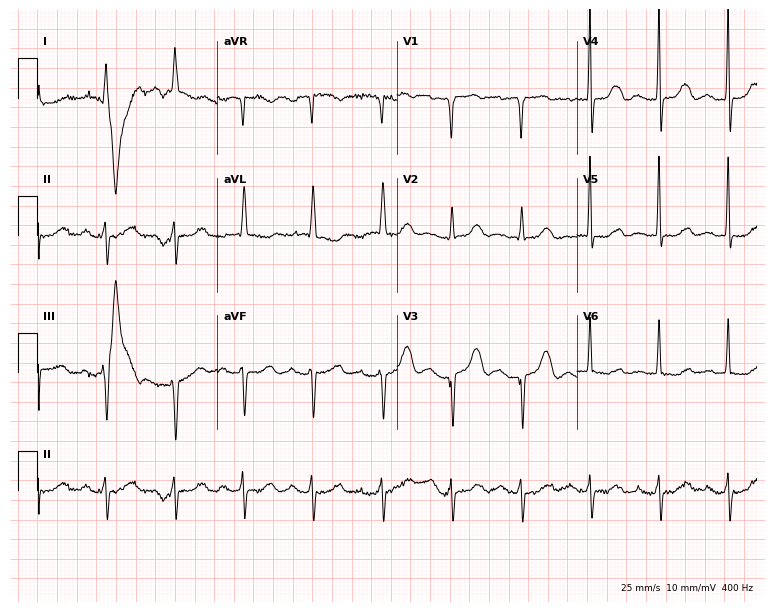
Resting 12-lead electrocardiogram. Patient: a woman, 85 years old. None of these six findings is recorded: first-degree AV block, right bundle branch block, left bundle branch block, sinus bradycardia, atrial fibrillation, sinus tachycardia. Findings outside these six are not listed.